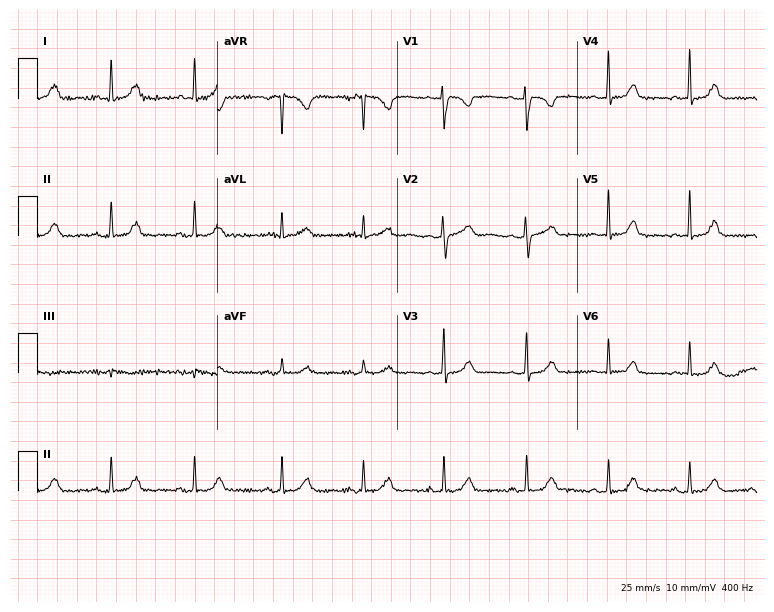
Resting 12-lead electrocardiogram. Patient: a female, 54 years old. Read as a normal ECG.